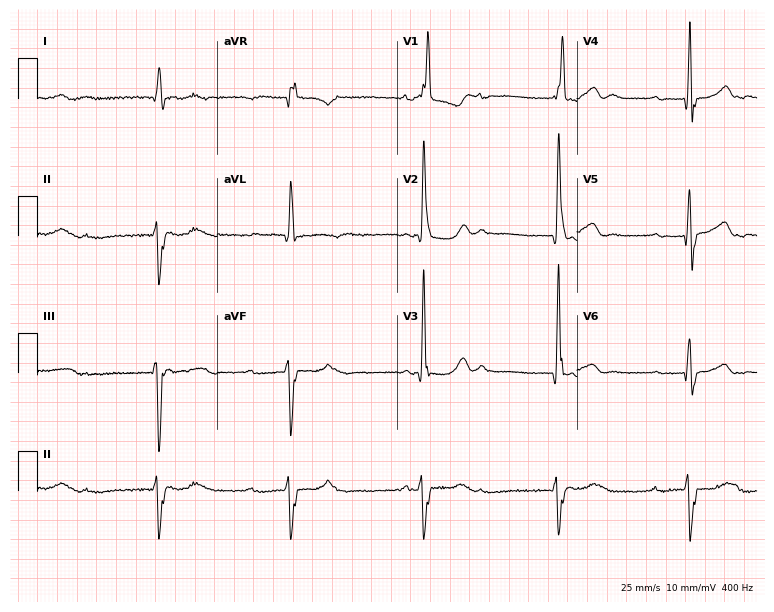
Standard 12-lead ECG recorded from a 76-year-old female (7.3-second recording at 400 Hz). The tracing shows first-degree AV block, right bundle branch block (RBBB).